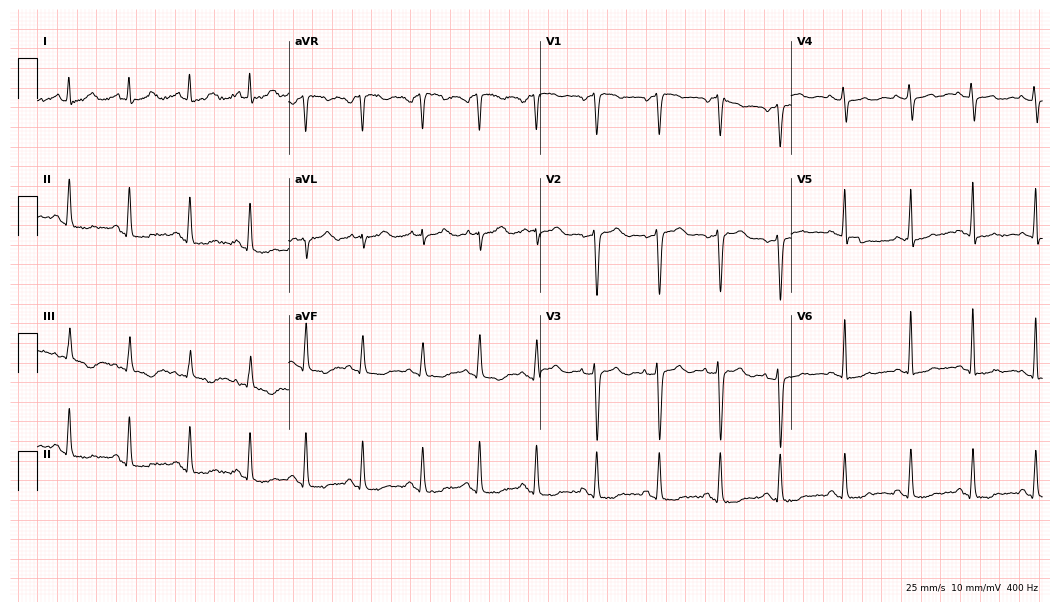
Standard 12-lead ECG recorded from a woman, 39 years old (10.2-second recording at 400 Hz). Read as a normal ECG.